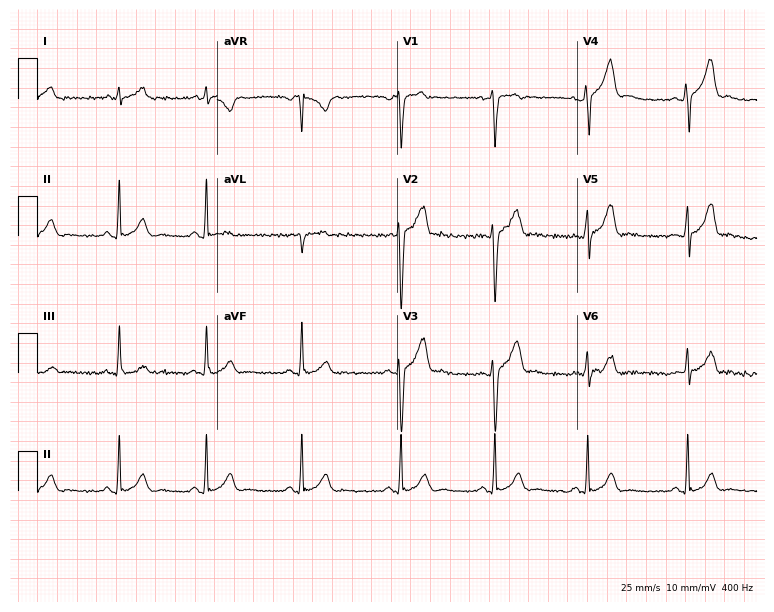
Standard 12-lead ECG recorded from a 20-year-old man (7.3-second recording at 400 Hz). Read as a normal ECG.